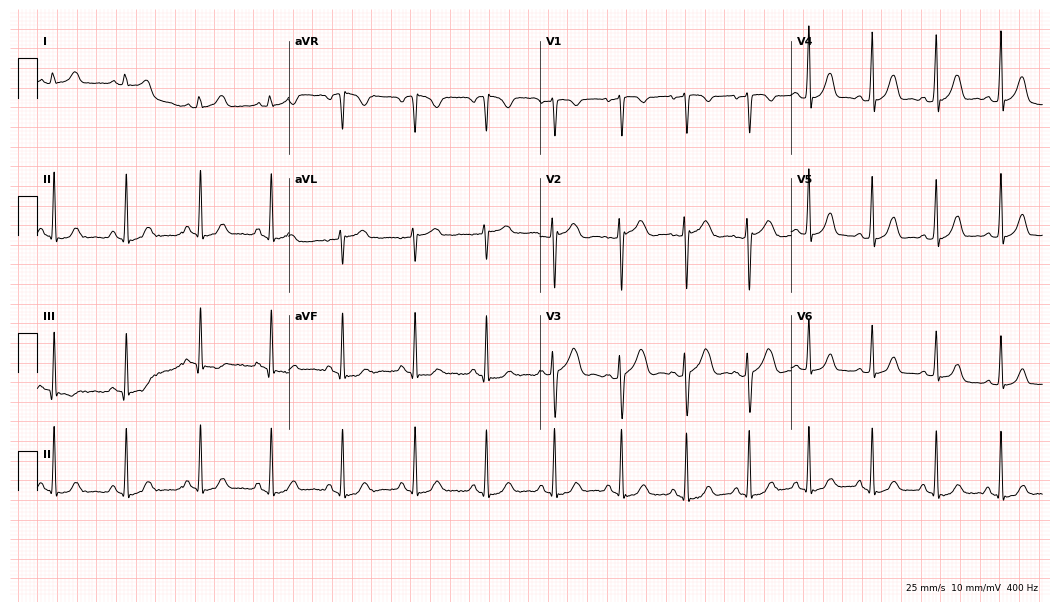
Electrocardiogram (10.2-second recording at 400 Hz), a 30-year-old woman. Of the six screened findings (first-degree AV block, right bundle branch block, left bundle branch block, sinus bradycardia, atrial fibrillation, sinus tachycardia), none is recorded.